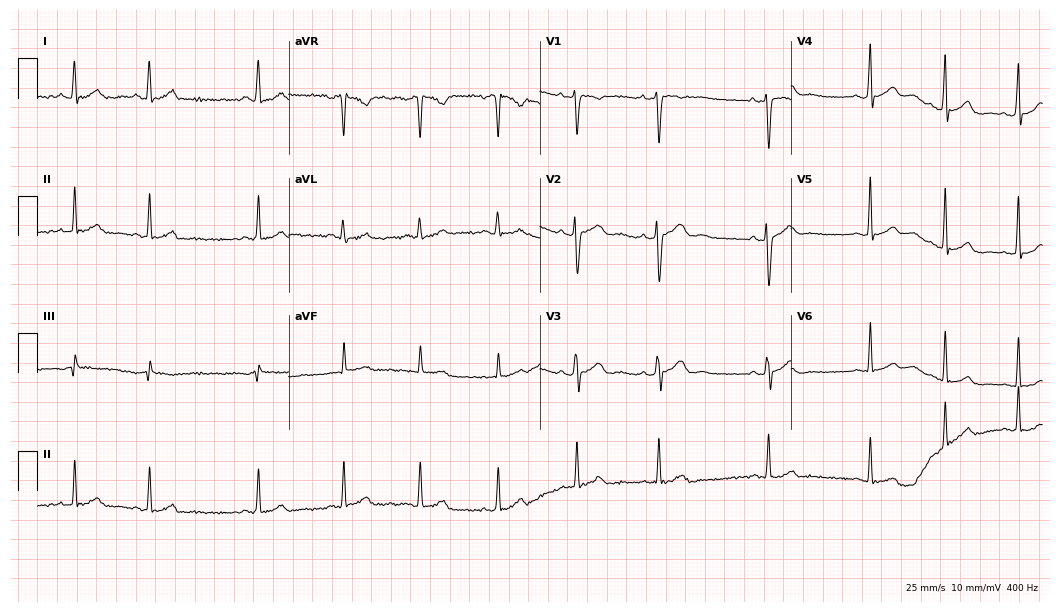
12-lead ECG from an 18-year-old female. Recorded interpretation: within normal limits.